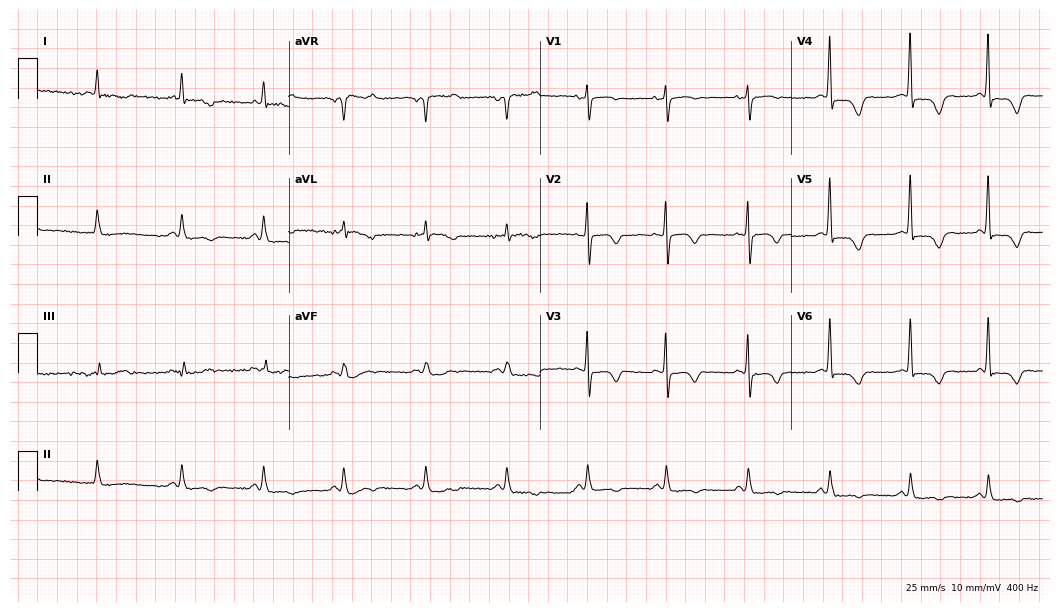
12-lead ECG from an 82-year-old woman. Screened for six findings — first-degree AV block, right bundle branch block, left bundle branch block, sinus bradycardia, atrial fibrillation, sinus tachycardia — none is recorded.